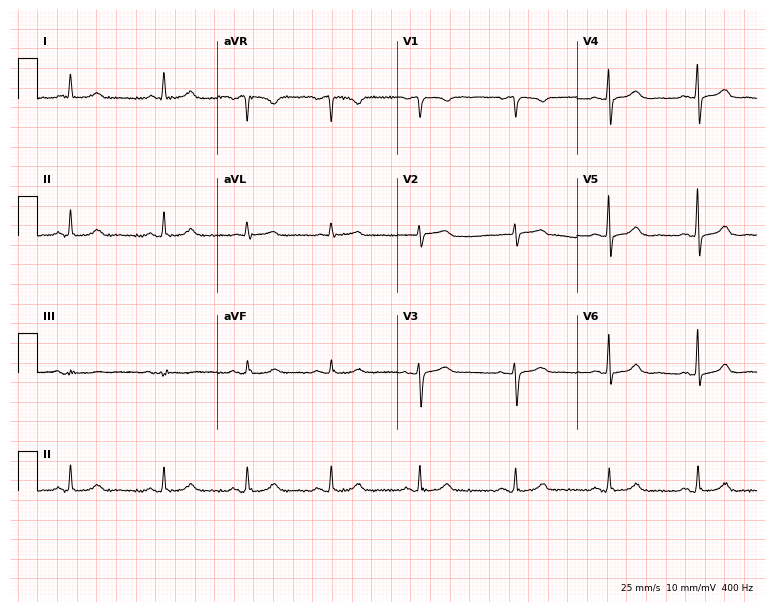
Standard 12-lead ECG recorded from a 65-year-old woman. Read as a normal ECG.